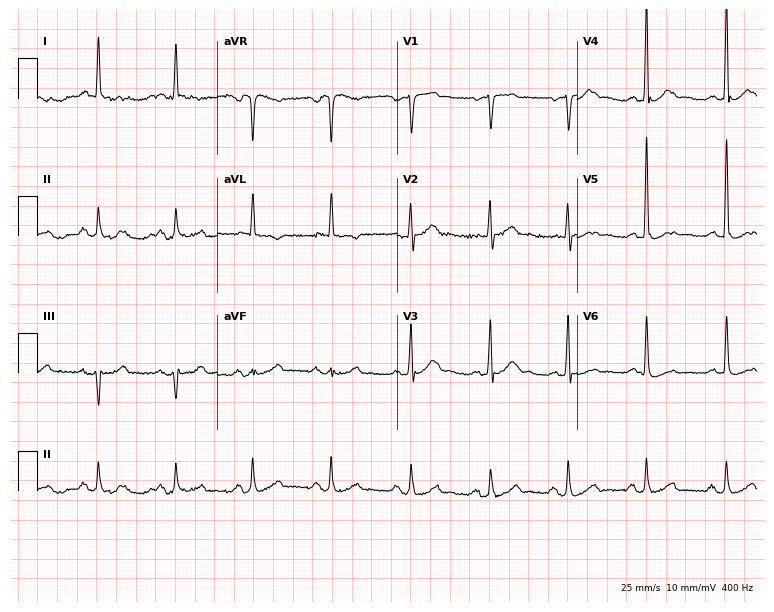
12-lead ECG (7.3-second recording at 400 Hz) from a 75-year-old male. Screened for six findings — first-degree AV block, right bundle branch block, left bundle branch block, sinus bradycardia, atrial fibrillation, sinus tachycardia — none is recorded.